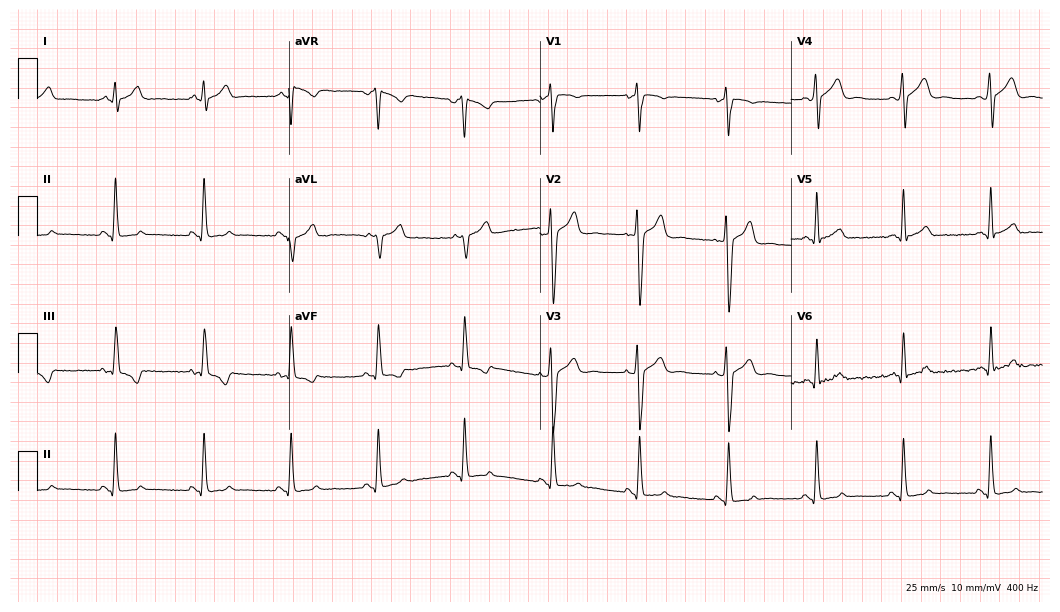
ECG — a male patient, 22 years old. Screened for six findings — first-degree AV block, right bundle branch block (RBBB), left bundle branch block (LBBB), sinus bradycardia, atrial fibrillation (AF), sinus tachycardia — none is recorded.